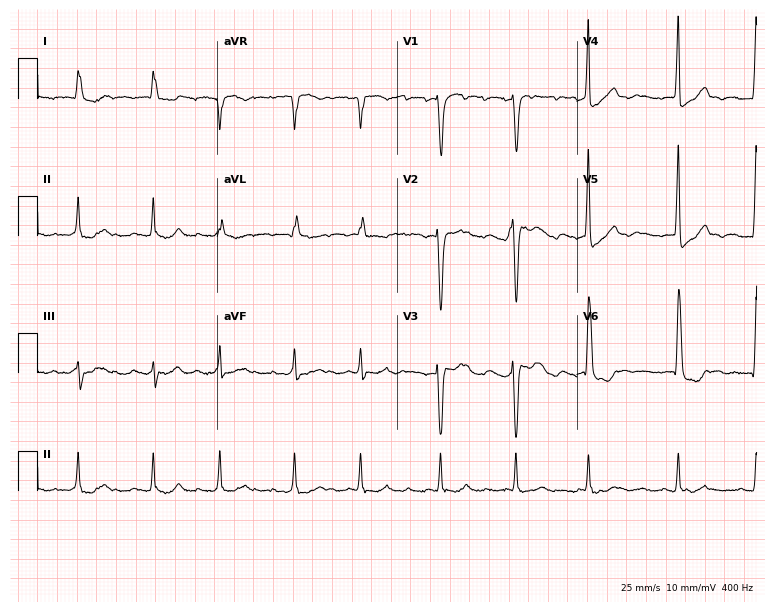
12-lead ECG (7.3-second recording at 400 Hz) from an 85-year-old man. Findings include atrial fibrillation.